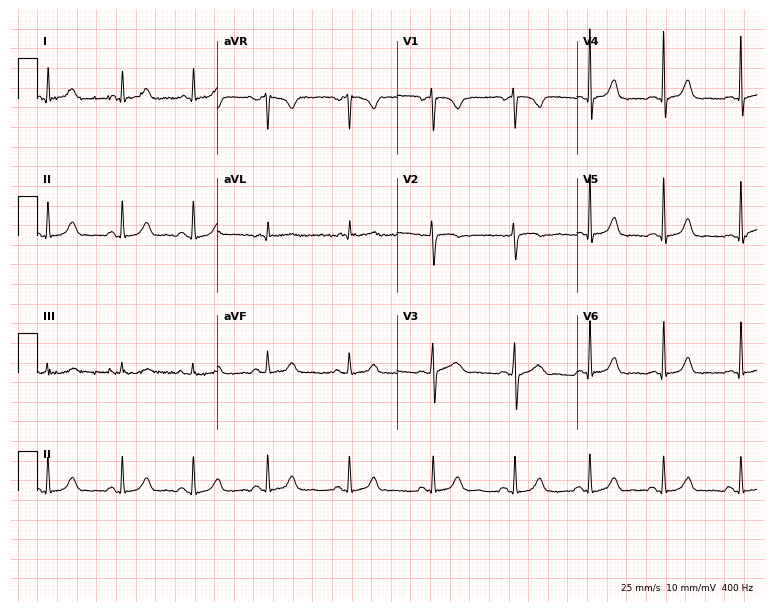
Resting 12-lead electrocardiogram. Patient: a 25-year-old female. Read as a normal ECG.